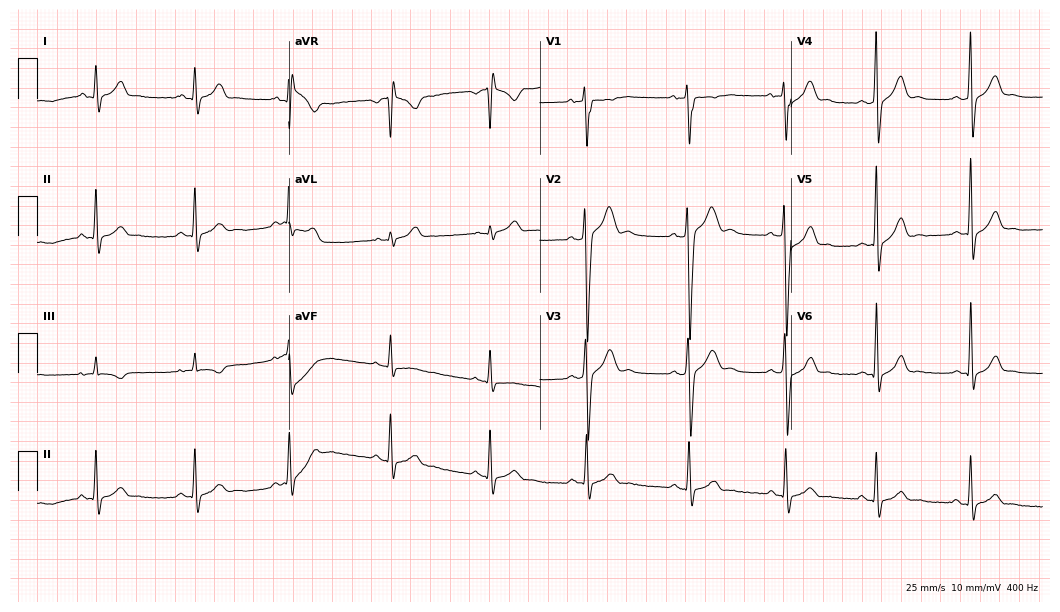
12-lead ECG from a 21-year-old male. Screened for six findings — first-degree AV block, right bundle branch block, left bundle branch block, sinus bradycardia, atrial fibrillation, sinus tachycardia — none is recorded.